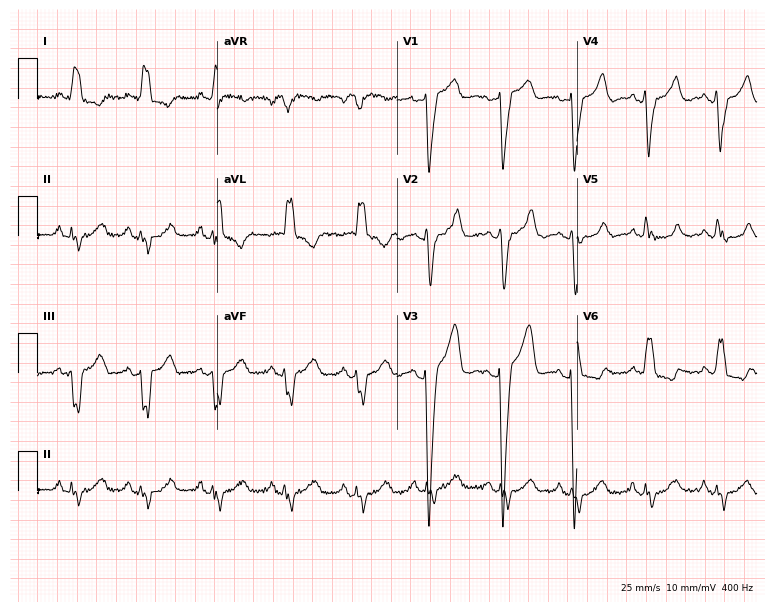
12-lead ECG from a female, 66 years old. Shows left bundle branch block.